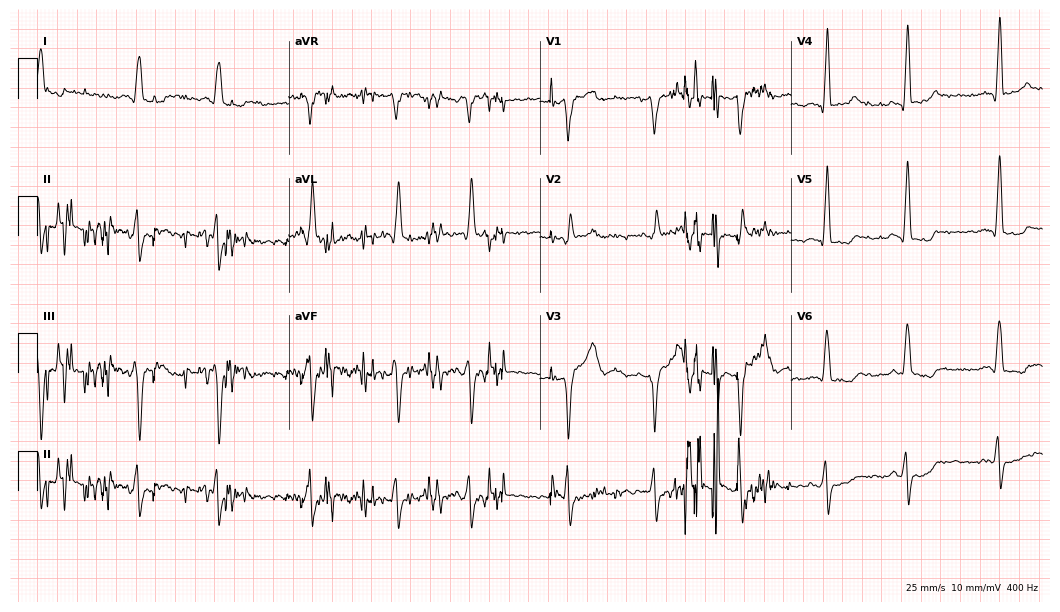
12-lead ECG from a 67-year-old male. Screened for six findings — first-degree AV block, right bundle branch block, left bundle branch block, sinus bradycardia, atrial fibrillation, sinus tachycardia — none is recorded.